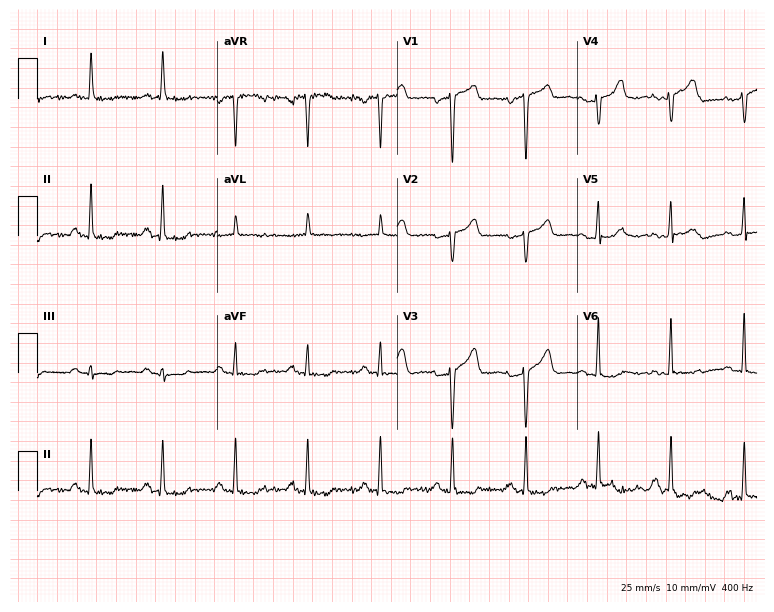
Resting 12-lead electrocardiogram (7.3-second recording at 400 Hz). Patient: a woman, 56 years old. None of these six findings is recorded: first-degree AV block, right bundle branch block, left bundle branch block, sinus bradycardia, atrial fibrillation, sinus tachycardia.